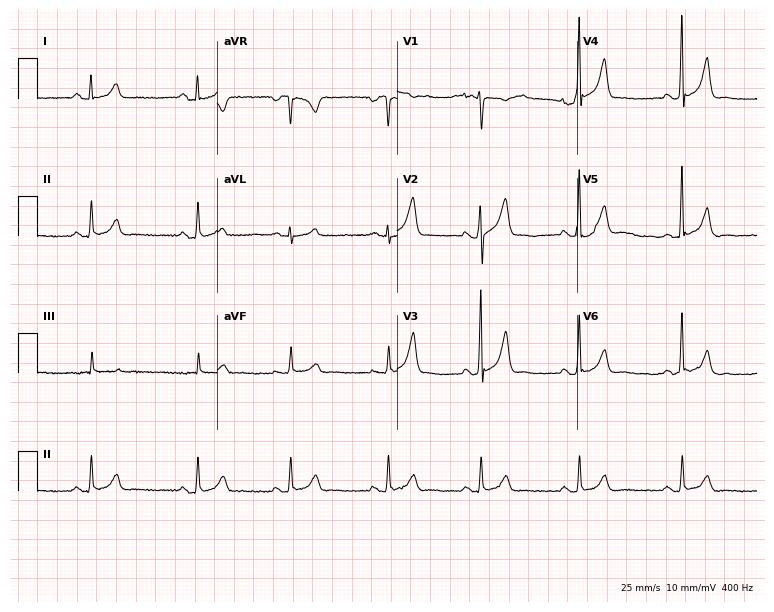
ECG (7.3-second recording at 400 Hz) — a woman, 33 years old. Screened for six findings — first-degree AV block, right bundle branch block, left bundle branch block, sinus bradycardia, atrial fibrillation, sinus tachycardia — none is recorded.